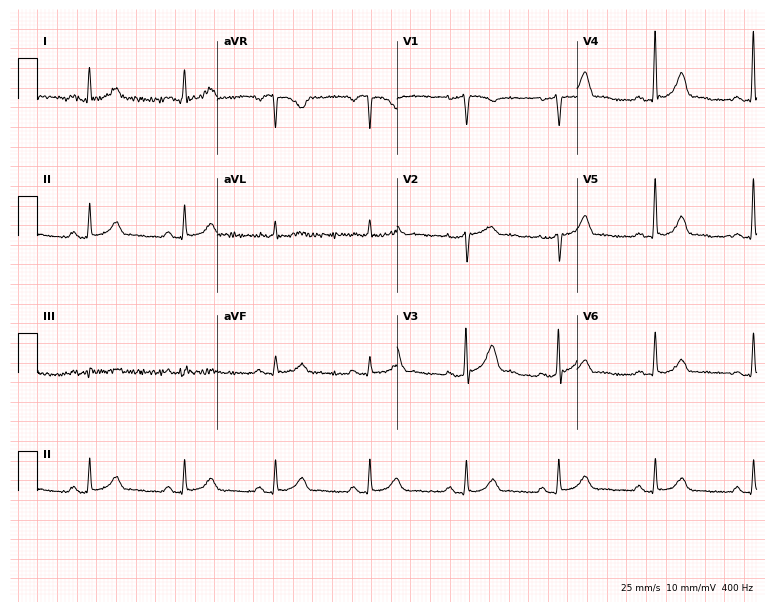
Standard 12-lead ECG recorded from a 47-year-old male patient. Read as a normal ECG.